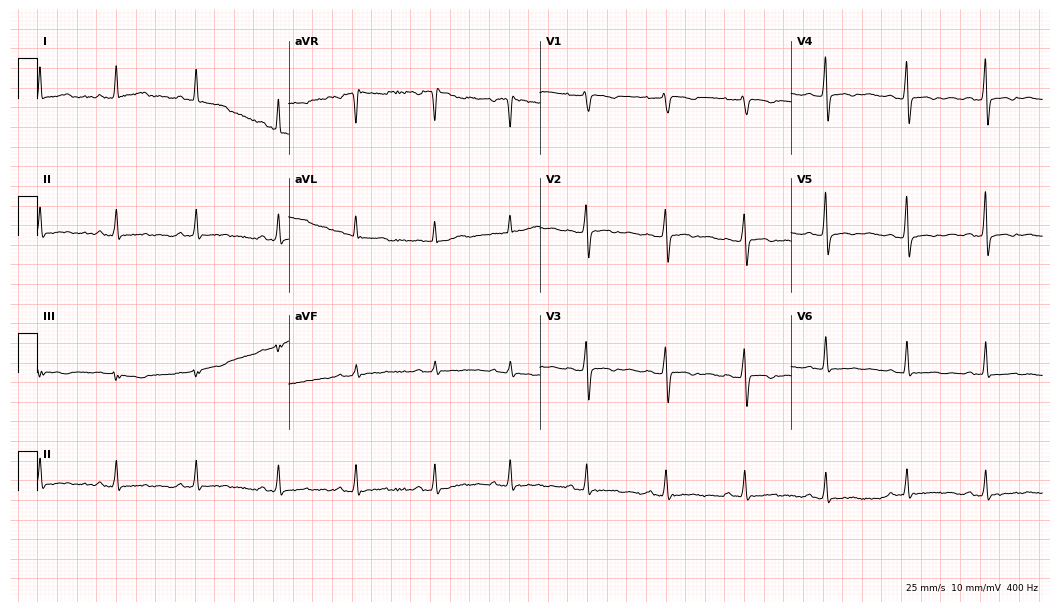
12-lead ECG from a woman, 40 years old. Screened for six findings — first-degree AV block, right bundle branch block, left bundle branch block, sinus bradycardia, atrial fibrillation, sinus tachycardia — none is recorded. Other findings, if any, are not listed.